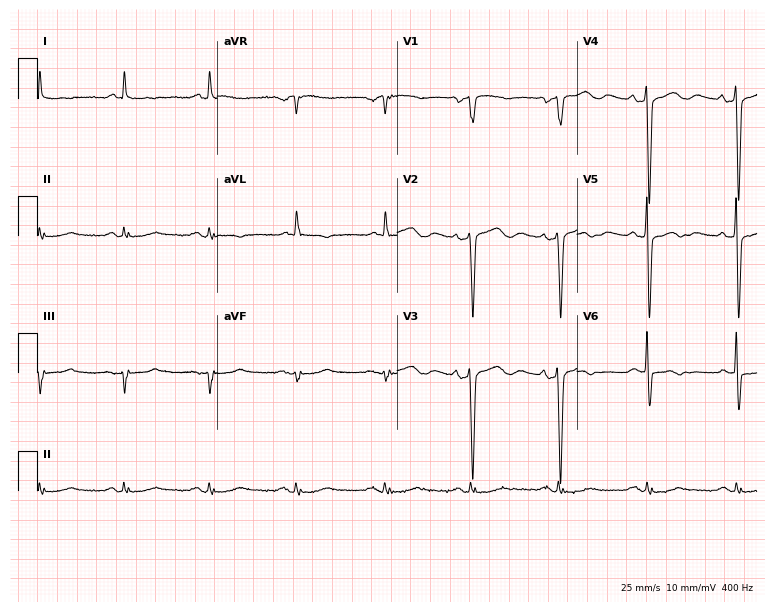
ECG — a female, 64 years old. Screened for six findings — first-degree AV block, right bundle branch block, left bundle branch block, sinus bradycardia, atrial fibrillation, sinus tachycardia — none is recorded.